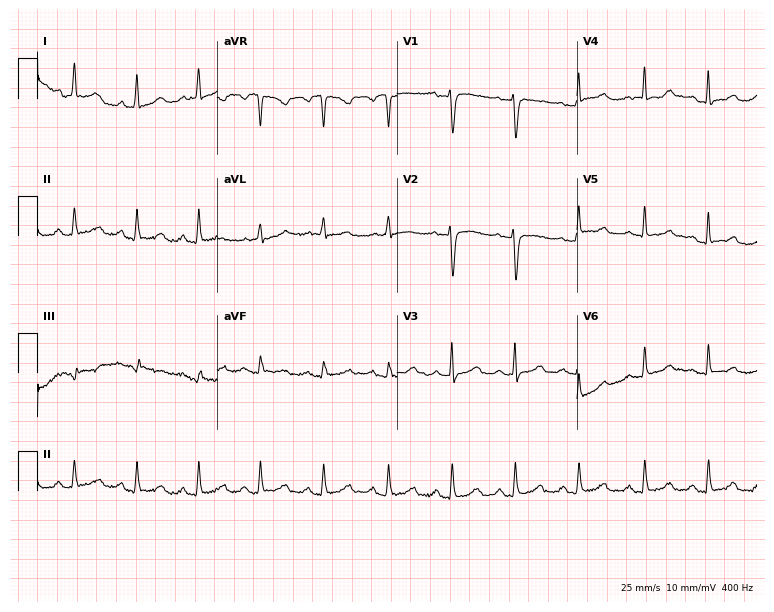
12-lead ECG from a 54-year-old woman (7.3-second recording at 400 Hz). Recorded interpretation: within normal limits.